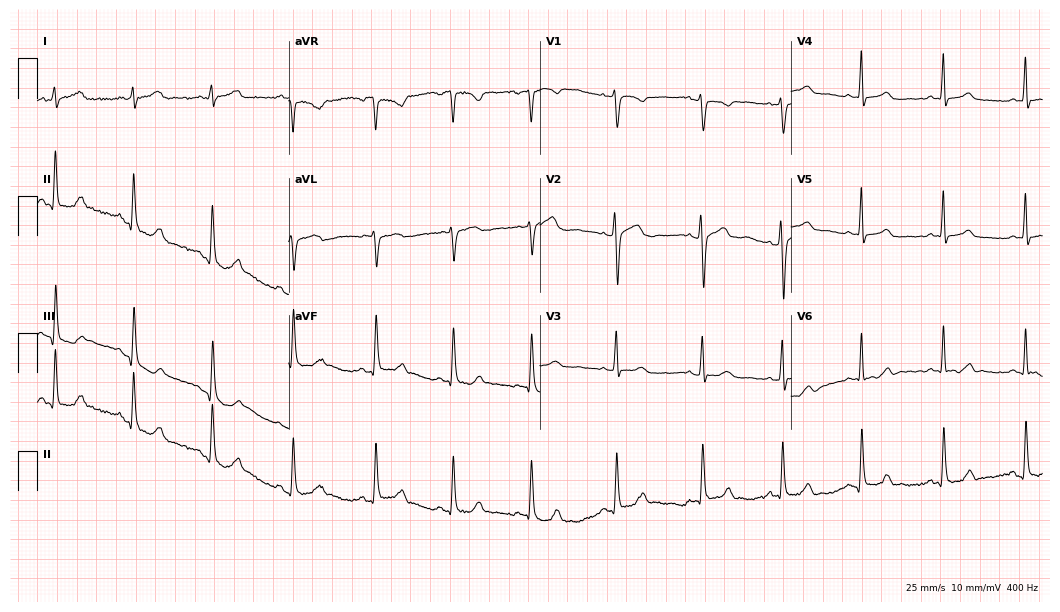
12-lead ECG from a woman, 30 years old. Labelled as a normal ECG.